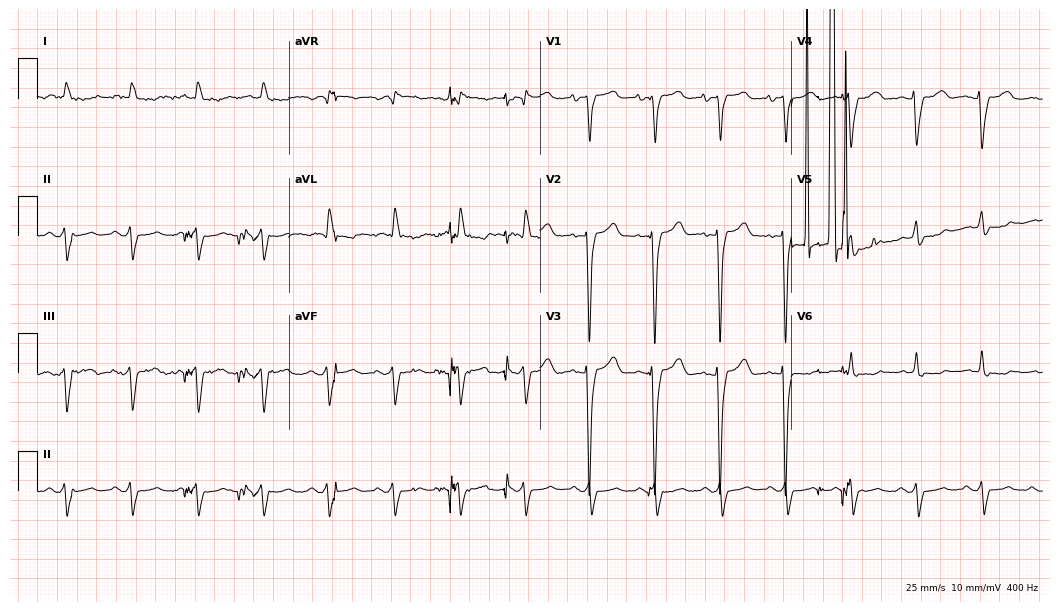
12-lead ECG from a 68-year-old man. Screened for six findings — first-degree AV block, right bundle branch block, left bundle branch block, sinus bradycardia, atrial fibrillation, sinus tachycardia — none is recorded.